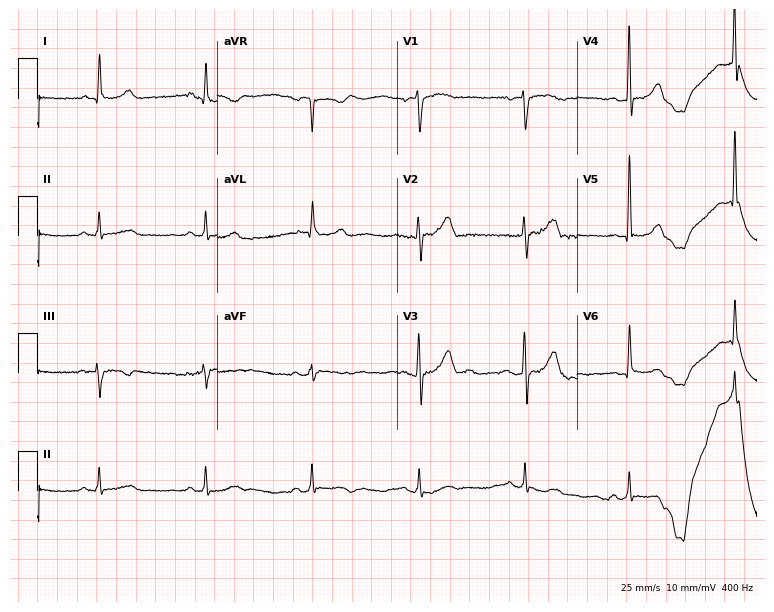
12-lead ECG (7.3-second recording at 400 Hz) from a 78-year-old male. Screened for six findings — first-degree AV block, right bundle branch block, left bundle branch block, sinus bradycardia, atrial fibrillation, sinus tachycardia — none is recorded.